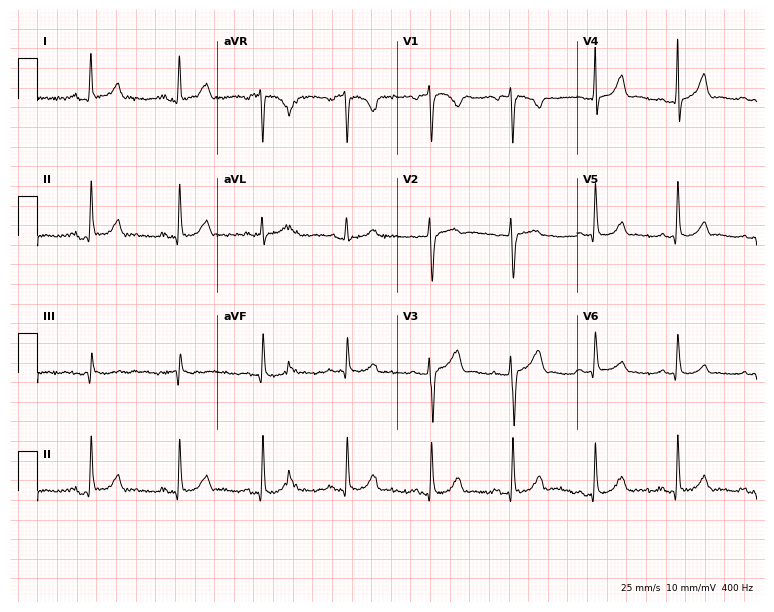
Electrocardiogram, a 27-year-old female. Of the six screened findings (first-degree AV block, right bundle branch block, left bundle branch block, sinus bradycardia, atrial fibrillation, sinus tachycardia), none is recorded. Findings outside these six are not listed.